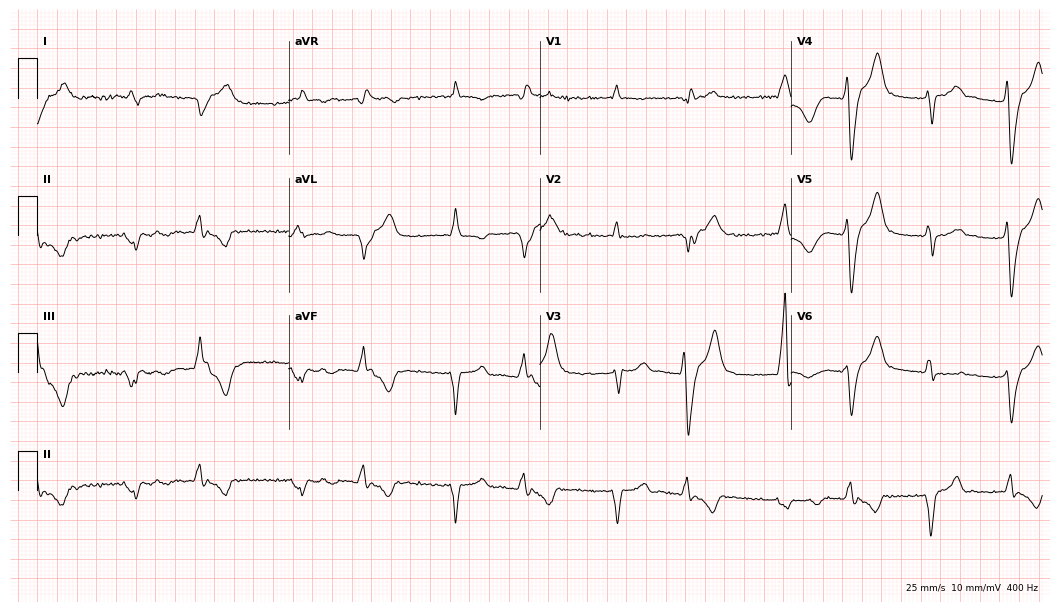
Standard 12-lead ECG recorded from a male, 67 years old. The tracing shows right bundle branch block, atrial fibrillation.